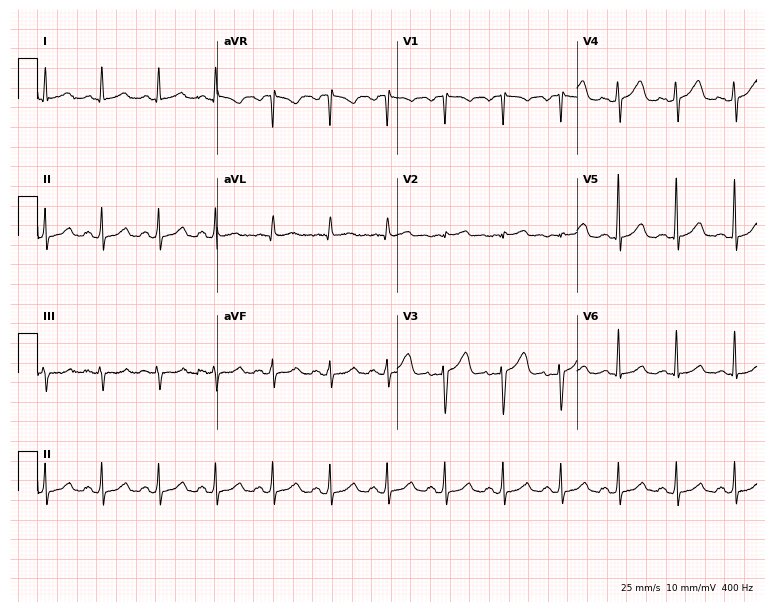
ECG — a female patient, 49 years old. Labelled as a normal ECG.